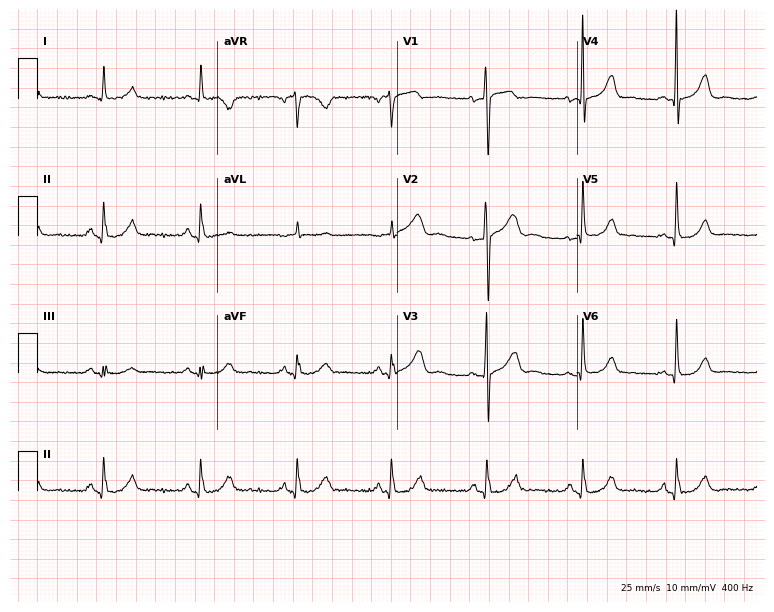
12-lead ECG from a female patient, 56 years old. Labelled as a normal ECG.